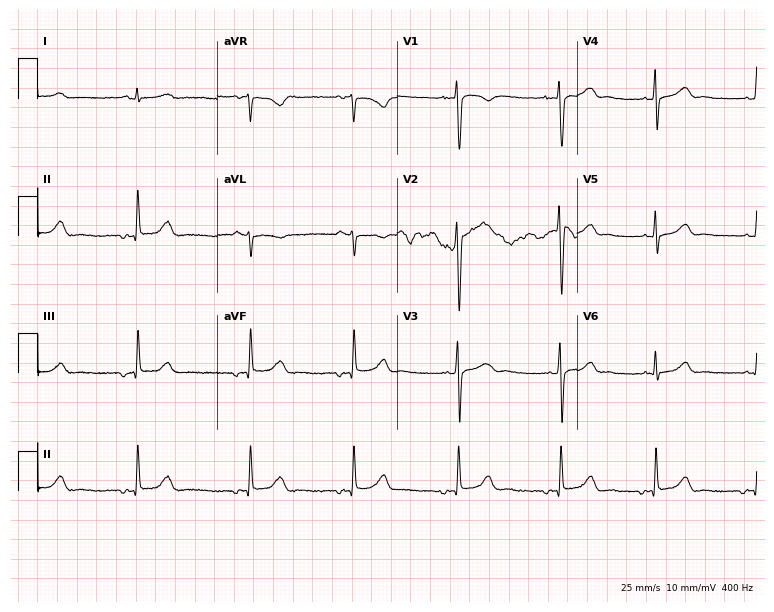
Resting 12-lead electrocardiogram (7.3-second recording at 400 Hz). Patient: a female, 20 years old. Read as a normal ECG.